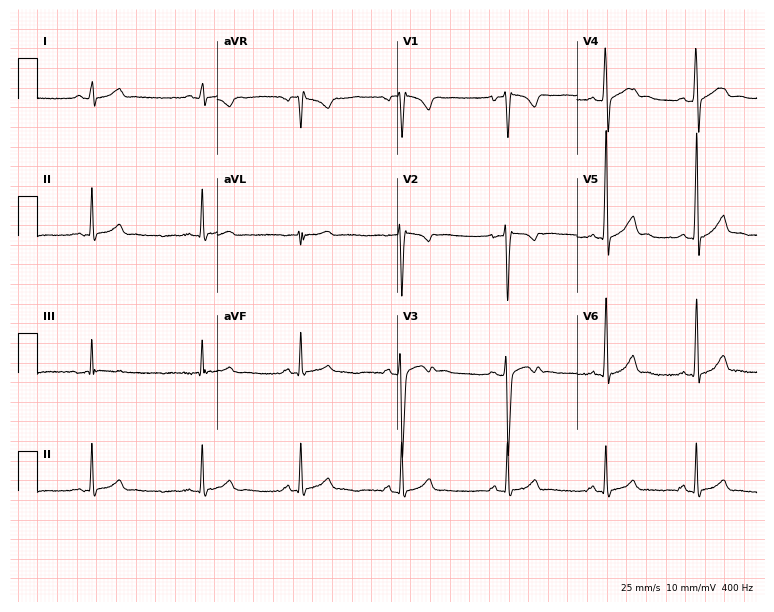
12-lead ECG from a 17-year-old male patient. No first-degree AV block, right bundle branch block, left bundle branch block, sinus bradycardia, atrial fibrillation or sinus tachycardia recorded for this tracing. Findings outside these six are not listed.